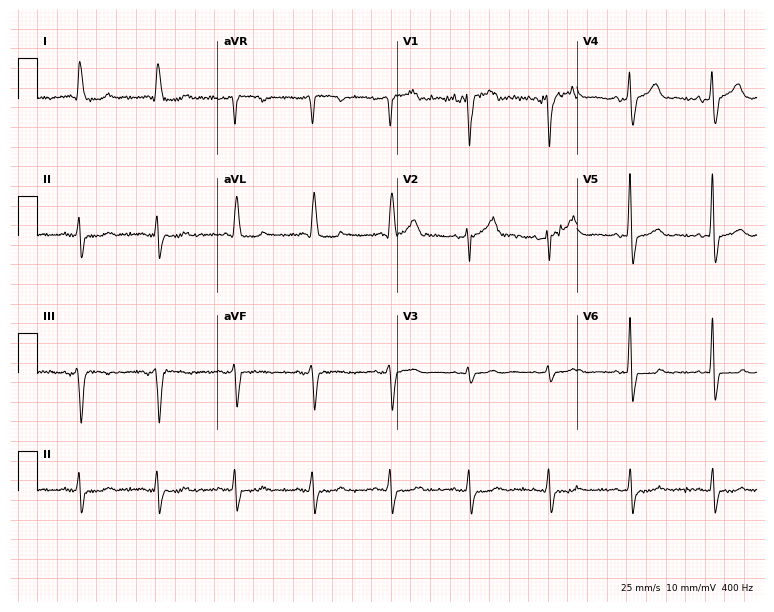
Standard 12-lead ECG recorded from a male patient, 84 years old (7.3-second recording at 400 Hz). None of these six findings is recorded: first-degree AV block, right bundle branch block, left bundle branch block, sinus bradycardia, atrial fibrillation, sinus tachycardia. Only these six findings were labelled.